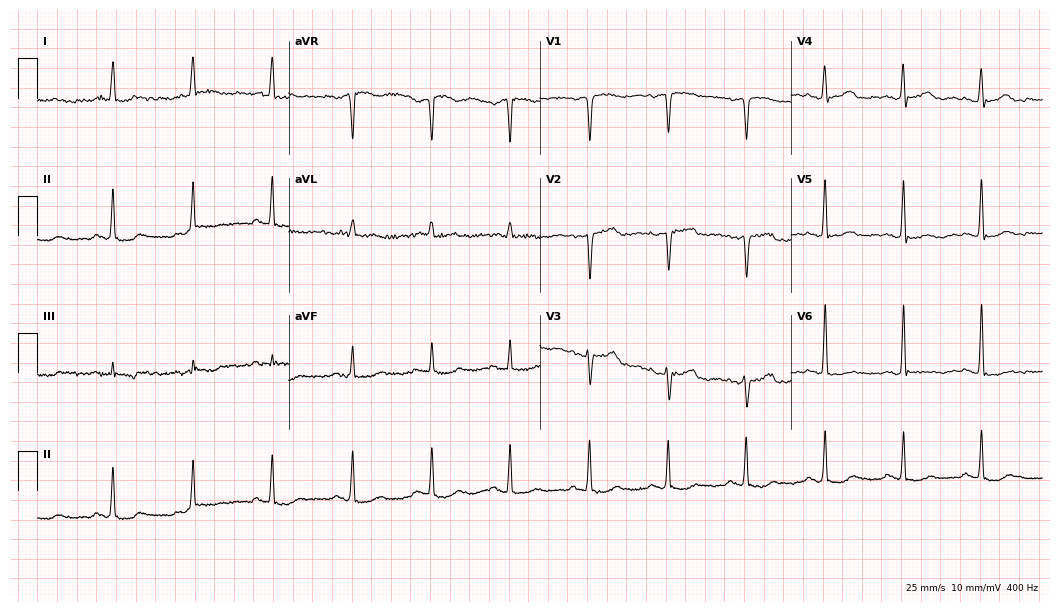
Standard 12-lead ECG recorded from a woman, 57 years old (10.2-second recording at 400 Hz). None of these six findings is recorded: first-degree AV block, right bundle branch block, left bundle branch block, sinus bradycardia, atrial fibrillation, sinus tachycardia.